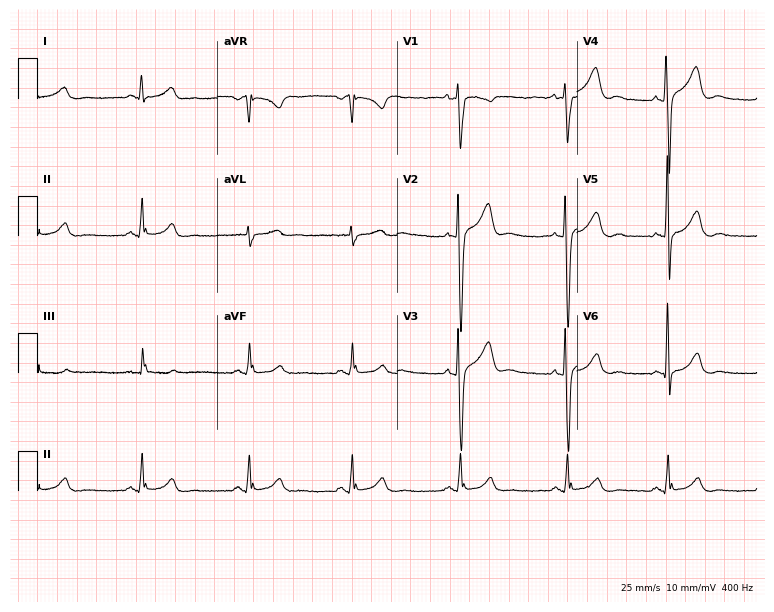
Standard 12-lead ECG recorded from a 46-year-old man. None of these six findings is recorded: first-degree AV block, right bundle branch block (RBBB), left bundle branch block (LBBB), sinus bradycardia, atrial fibrillation (AF), sinus tachycardia. Findings outside these six are not listed.